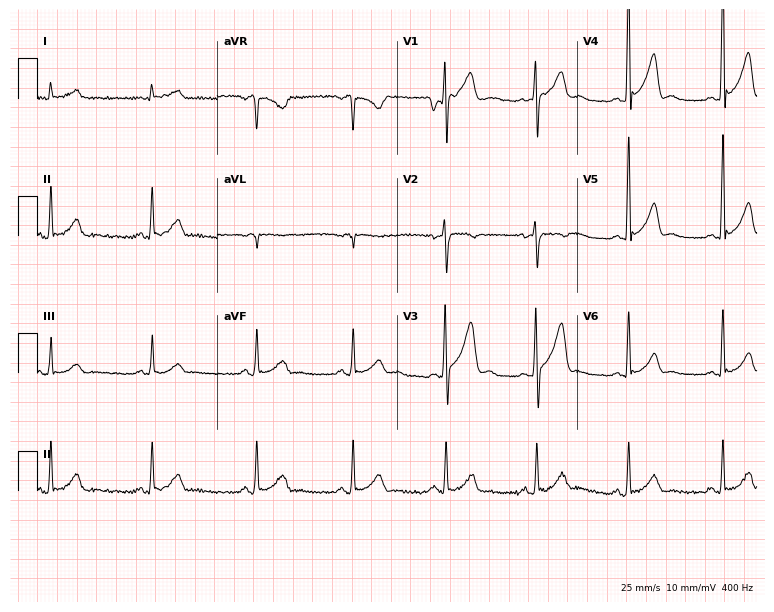
Standard 12-lead ECG recorded from a 42-year-old male patient (7.3-second recording at 400 Hz). None of these six findings is recorded: first-degree AV block, right bundle branch block, left bundle branch block, sinus bradycardia, atrial fibrillation, sinus tachycardia.